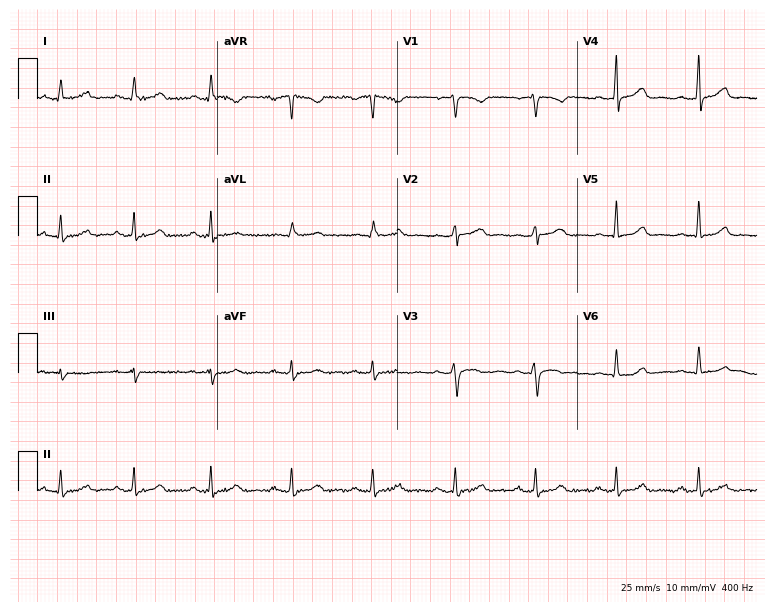
ECG (7.3-second recording at 400 Hz) — a female, 37 years old. Labelled as a normal ECG.